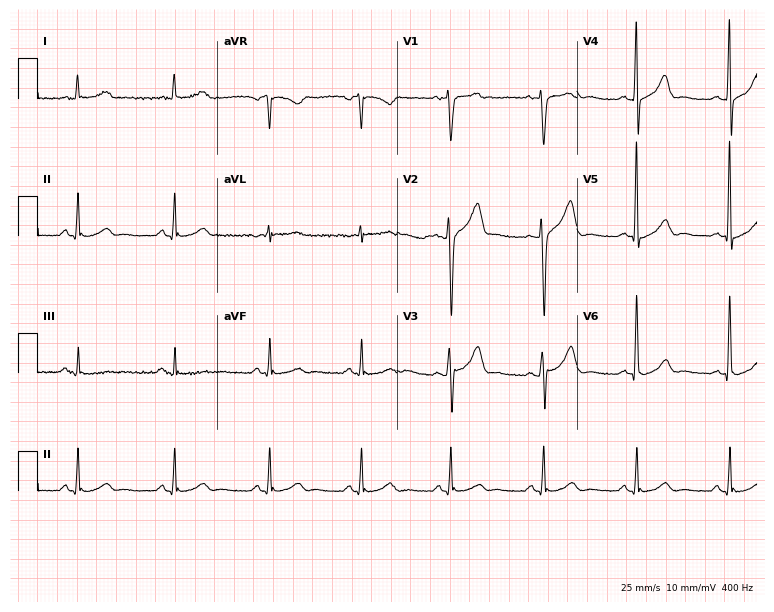
Electrocardiogram (7.3-second recording at 400 Hz), a 59-year-old man. Of the six screened findings (first-degree AV block, right bundle branch block (RBBB), left bundle branch block (LBBB), sinus bradycardia, atrial fibrillation (AF), sinus tachycardia), none is recorded.